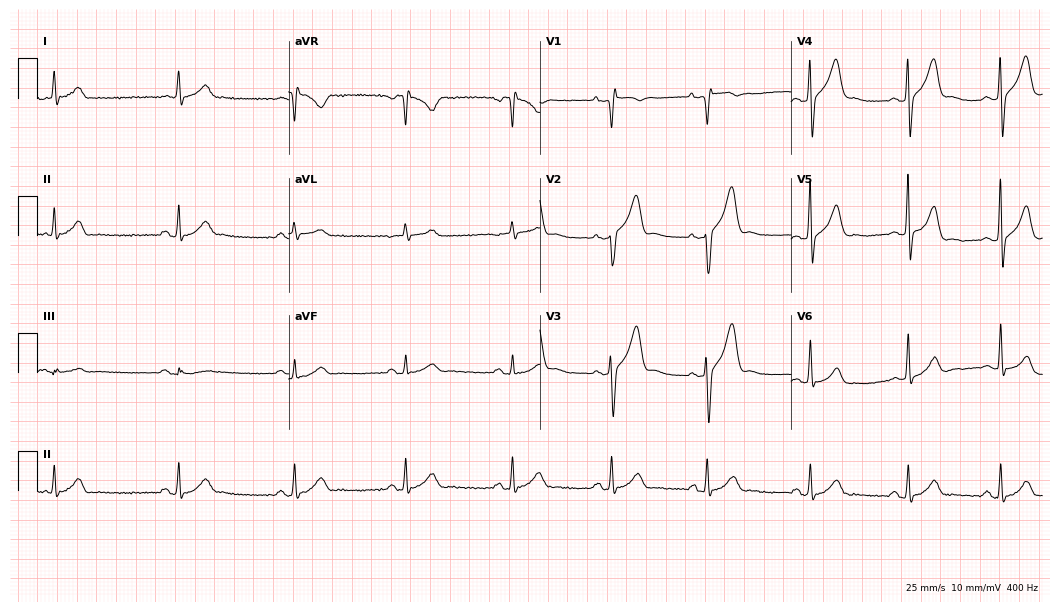
Resting 12-lead electrocardiogram (10.2-second recording at 400 Hz). Patient: a 62-year-old male. None of these six findings is recorded: first-degree AV block, right bundle branch block (RBBB), left bundle branch block (LBBB), sinus bradycardia, atrial fibrillation (AF), sinus tachycardia.